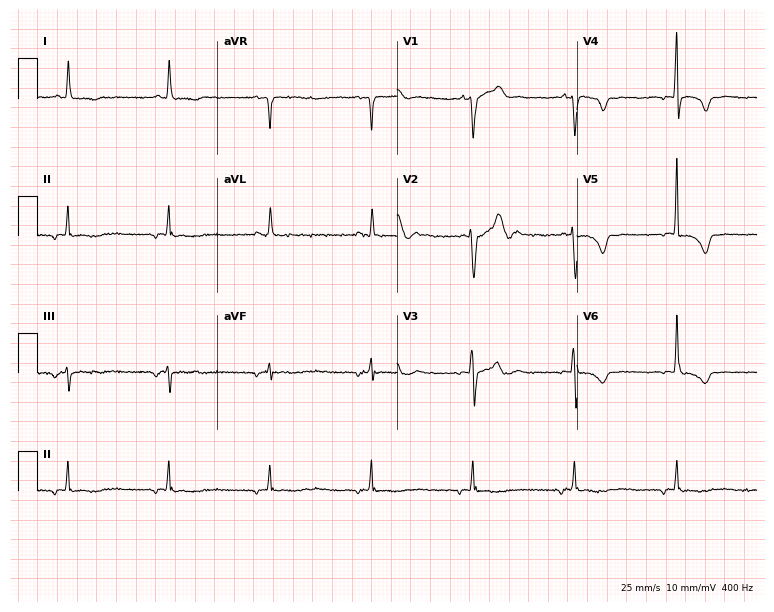
12-lead ECG from an 82-year-old female patient (7.3-second recording at 400 Hz). No first-degree AV block, right bundle branch block, left bundle branch block, sinus bradycardia, atrial fibrillation or sinus tachycardia recorded for this tracing.